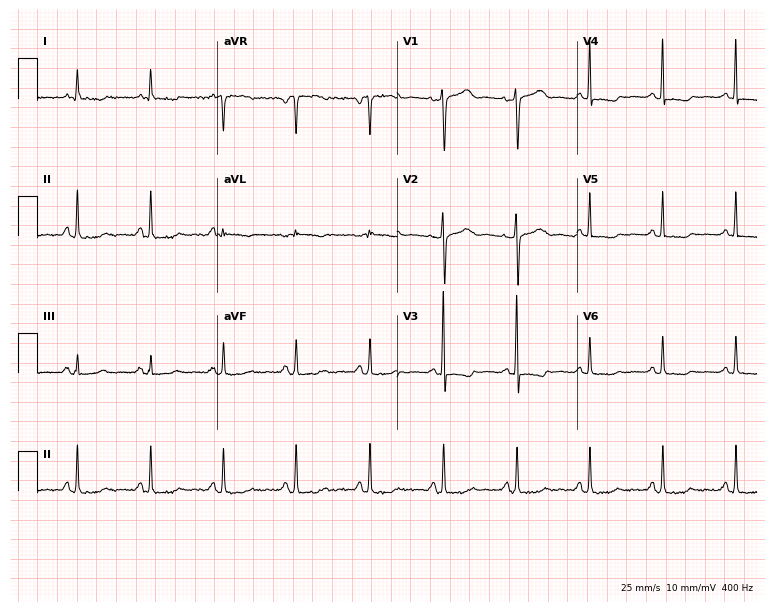
Resting 12-lead electrocardiogram. Patient: a 51-year-old woman. Read as a normal ECG.